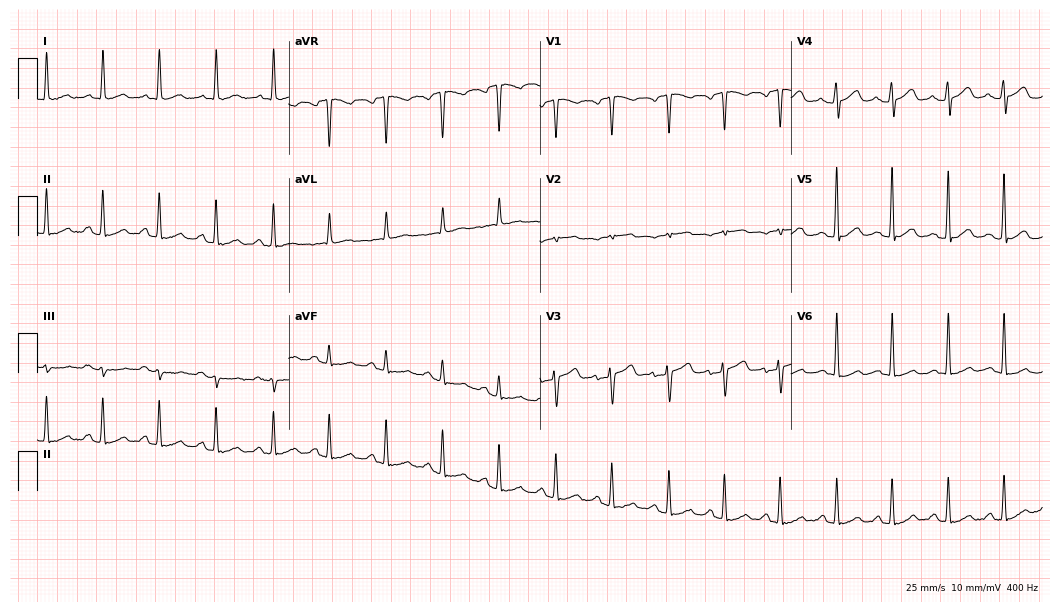
Standard 12-lead ECG recorded from a 69-year-old female patient (10.2-second recording at 400 Hz). The tracing shows sinus tachycardia (a sinus rate of 100 beats per minute or more).